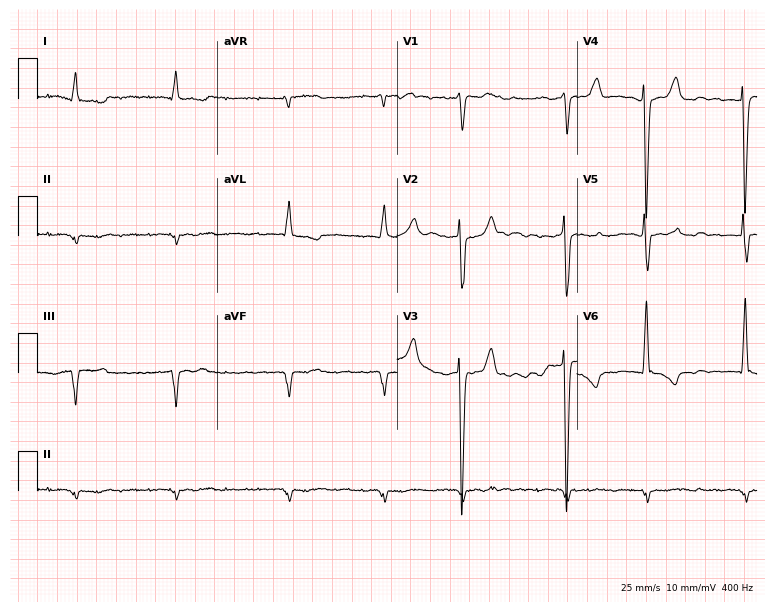
12-lead ECG from a 75-year-old male. Findings include atrial fibrillation.